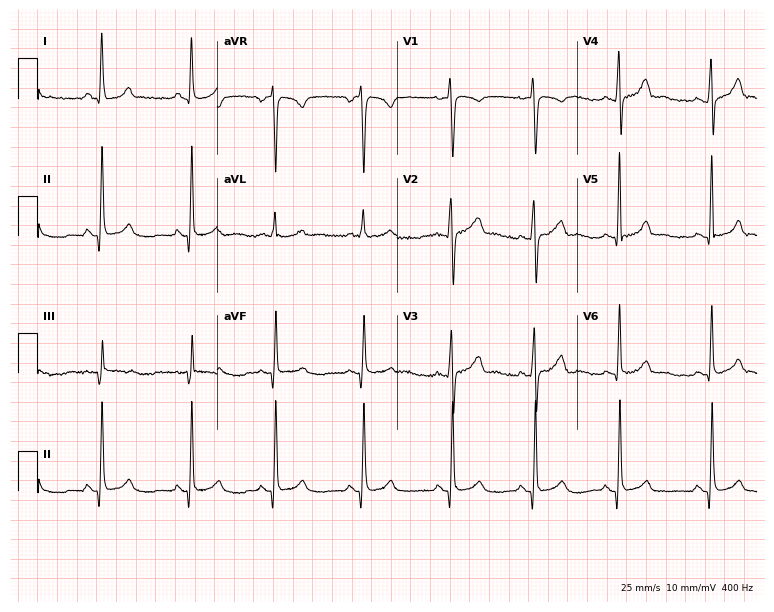
Standard 12-lead ECG recorded from a female, 37 years old. Read as a normal ECG.